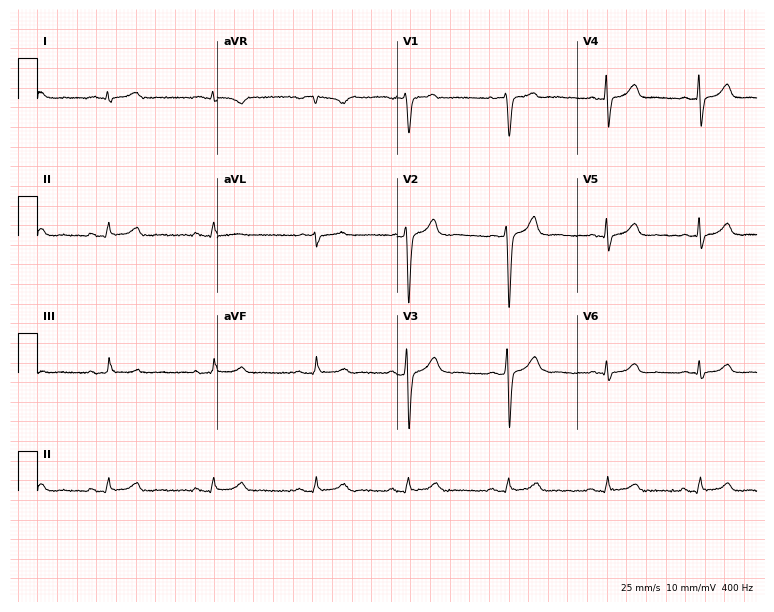
12-lead ECG from a male patient, 39 years old. No first-degree AV block, right bundle branch block, left bundle branch block, sinus bradycardia, atrial fibrillation or sinus tachycardia recorded for this tracing. Only these six findings were labelled.